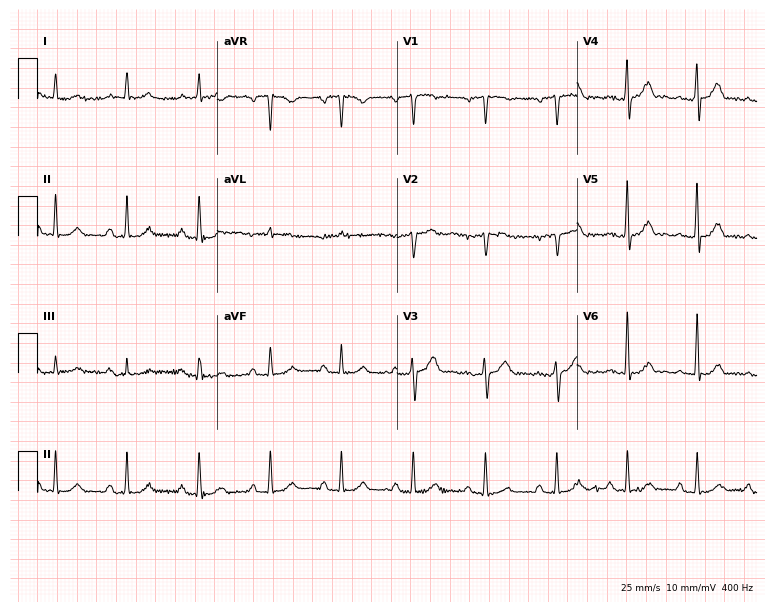
12-lead ECG from a 68-year-old male. Screened for six findings — first-degree AV block, right bundle branch block (RBBB), left bundle branch block (LBBB), sinus bradycardia, atrial fibrillation (AF), sinus tachycardia — none is recorded.